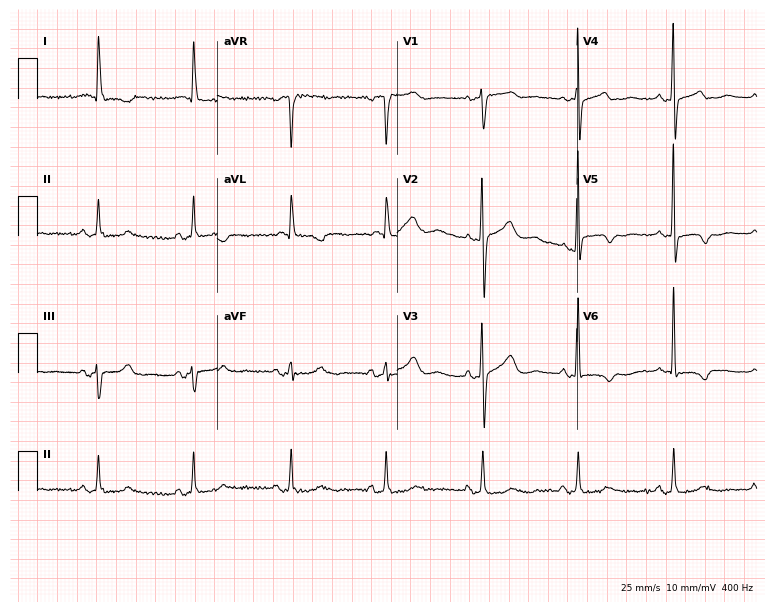
Standard 12-lead ECG recorded from a 79-year-old female. None of these six findings is recorded: first-degree AV block, right bundle branch block, left bundle branch block, sinus bradycardia, atrial fibrillation, sinus tachycardia. Other findings, if any, are not listed.